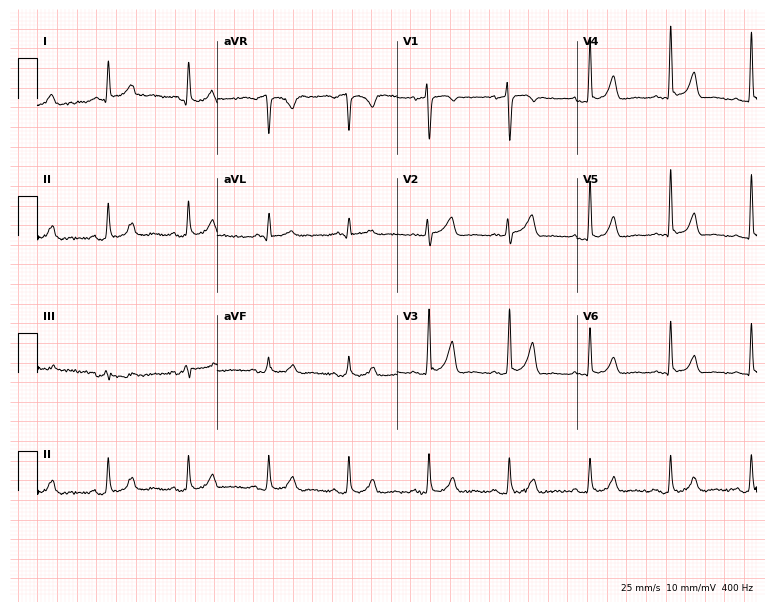
ECG (7.3-second recording at 400 Hz) — a female, 69 years old. Screened for six findings — first-degree AV block, right bundle branch block, left bundle branch block, sinus bradycardia, atrial fibrillation, sinus tachycardia — none is recorded. Only these six findings were labelled.